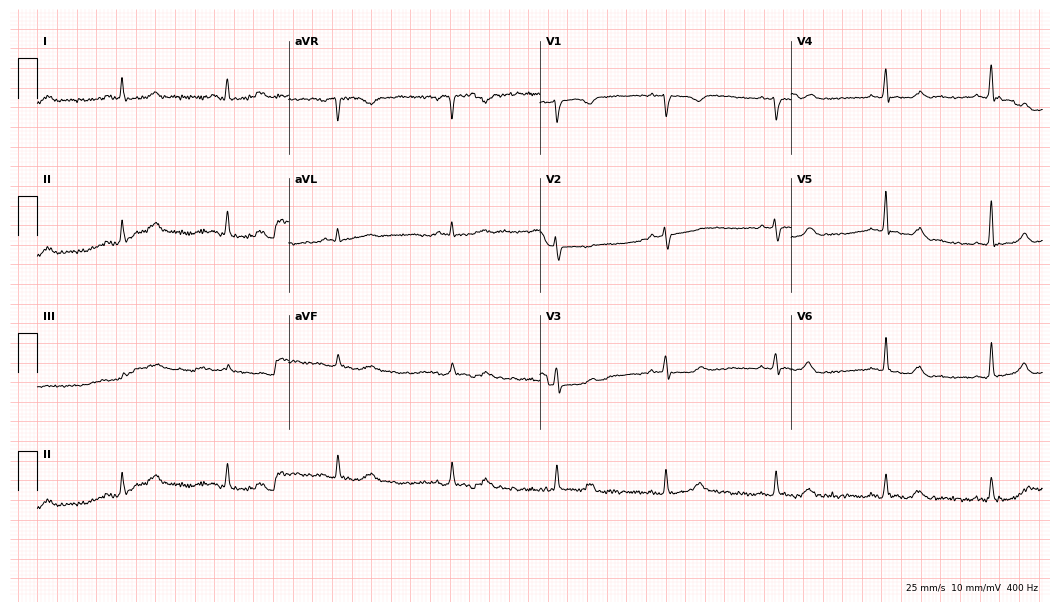
Resting 12-lead electrocardiogram (10.2-second recording at 400 Hz). Patient: a 61-year-old woman. None of these six findings is recorded: first-degree AV block, right bundle branch block, left bundle branch block, sinus bradycardia, atrial fibrillation, sinus tachycardia.